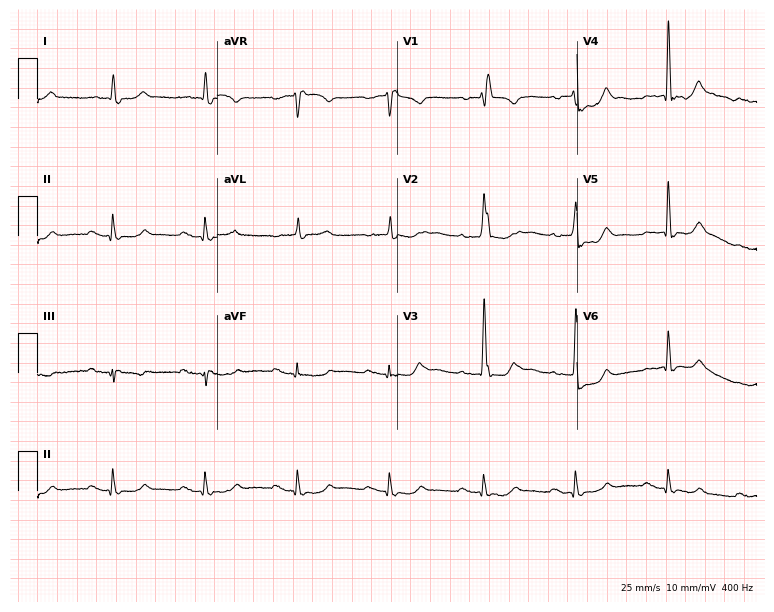
12-lead ECG from a female patient, 70 years old. Findings include first-degree AV block, right bundle branch block.